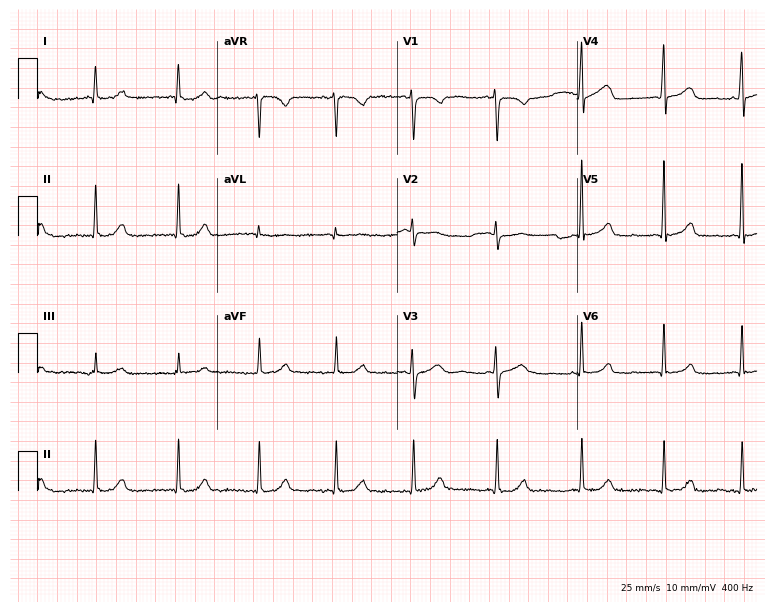
ECG (7.3-second recording at 400 Hz) — a 44-year-old female patient. Labelled as a normal ECG.